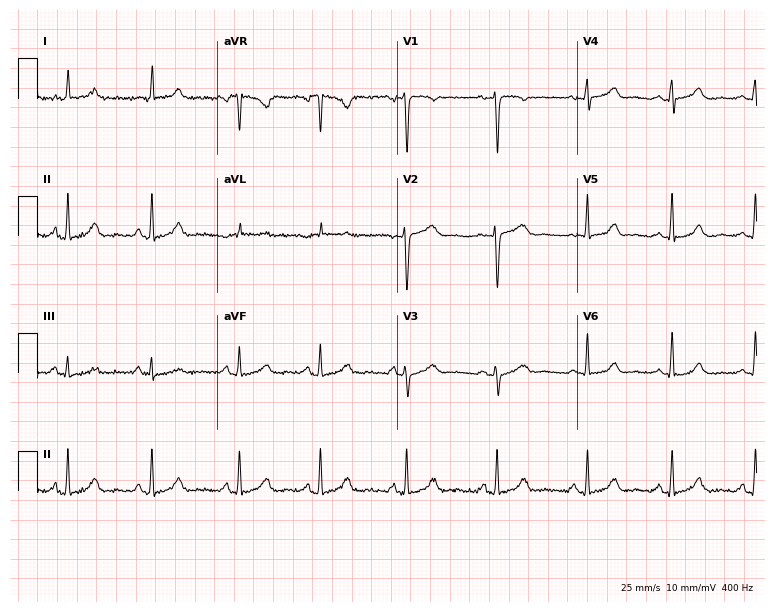
Electrocardiogram, a 38-year-old woman. Overall reading on record: normal ECG.